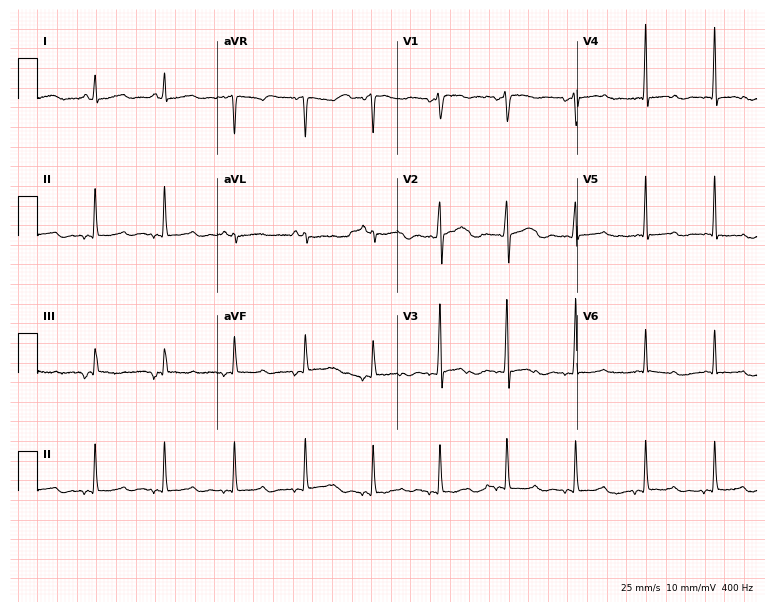
Electrocardiogram, a 46-year-old woman. Of the six screened findings (first-degree AV block, right bundle branch block, left bundle branch block, sinus bradycardia, atrial fibrillation, sinus tachycardia), none is recorded. Only these six findings were labelled.